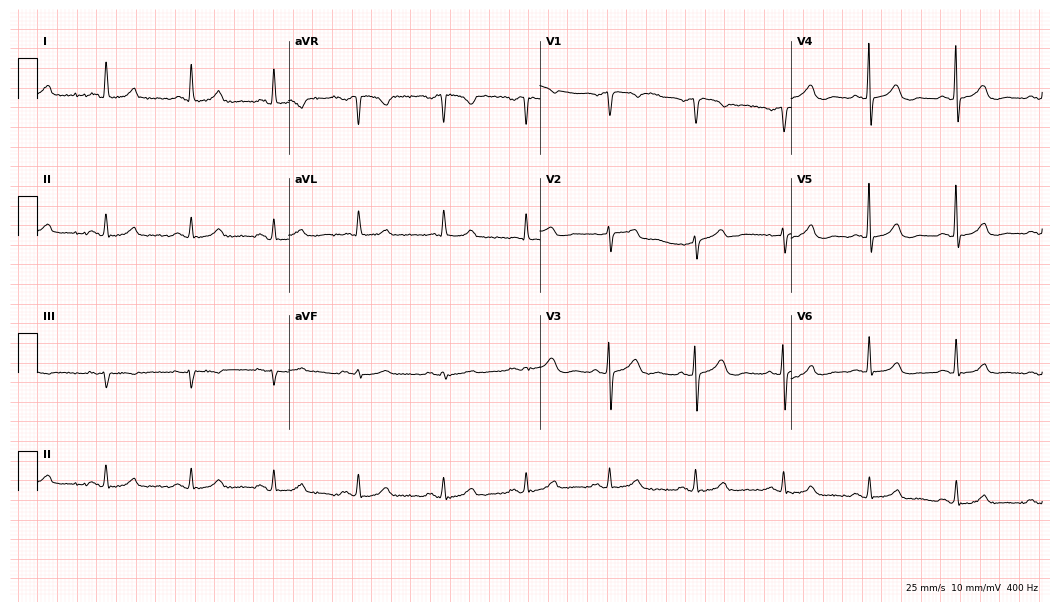
ECG (10.2-second recording at 400 Hz) — a woman, 81 years old. Labelled as a normal ECG.